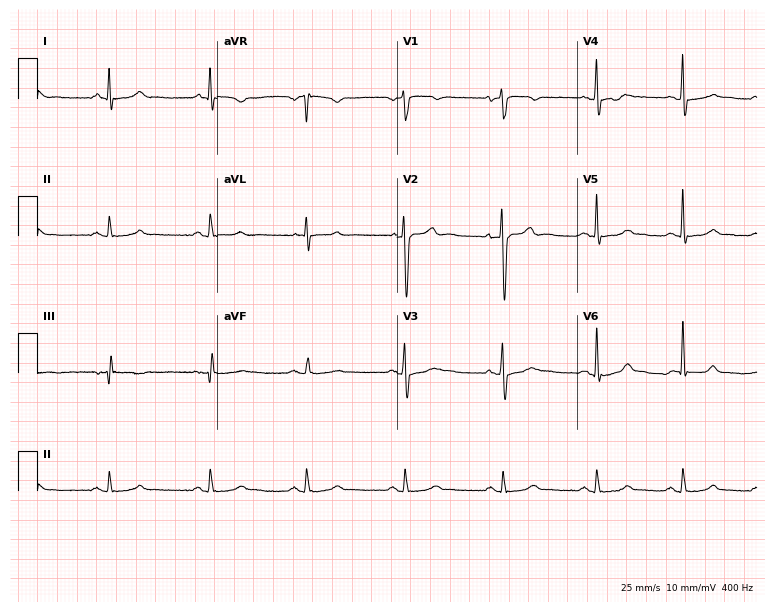
Standard 12-lead ECG recorded from a 21-year-old male. None of these six findings is recorded: first-degree AV block, right bundle branch block, left bundle branch block, sinus bradycardia, atrial fibrillation, sinus tachycardia. Only these six findings were labelled.